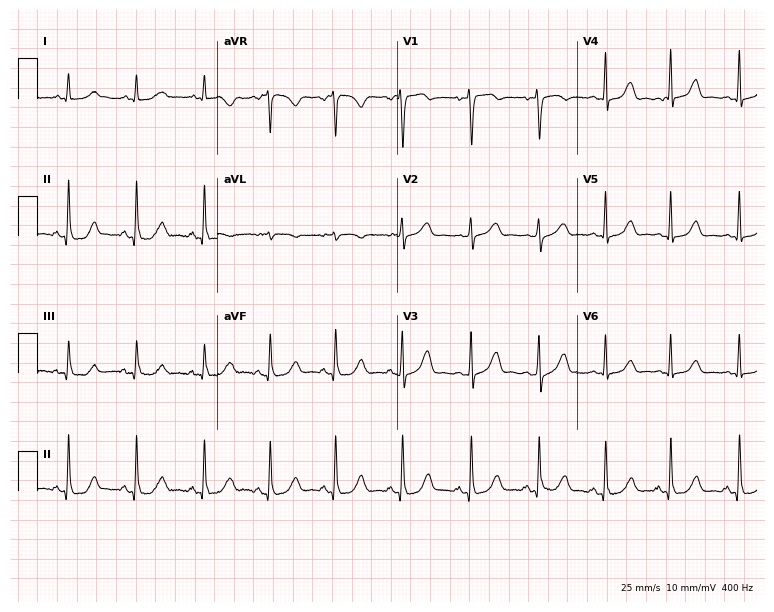
Standard 12-lead ECG recorded from a female, 63 years old. Read as a normal ECG.